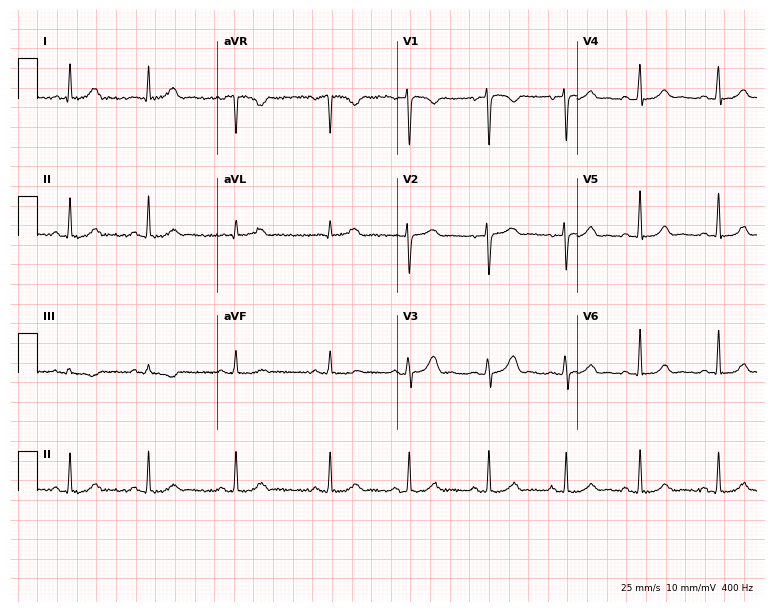
Standard 12-lead ECG recorded from a female, 18 years old. Read as a normal ECG.